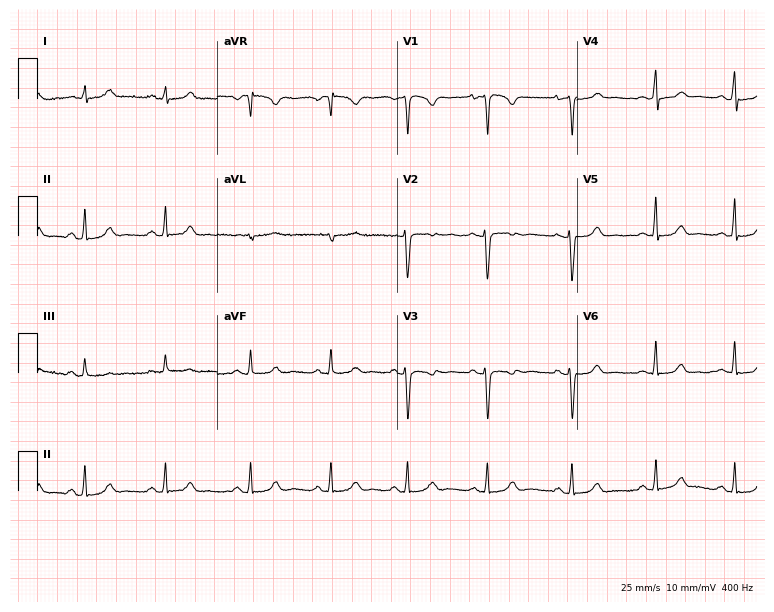
Electrocardiogram (7.3-second recording at 400 Hz), a woman, 26 years old. Of the six screened findings (first-degree AV block, right bundle branch block (RBBB), left bundle branch block (LBBB), sinus bradycardia, atrial fibrillation (AF), sinus tachycardia), none is recorded. Other findings, if any, are not listed.